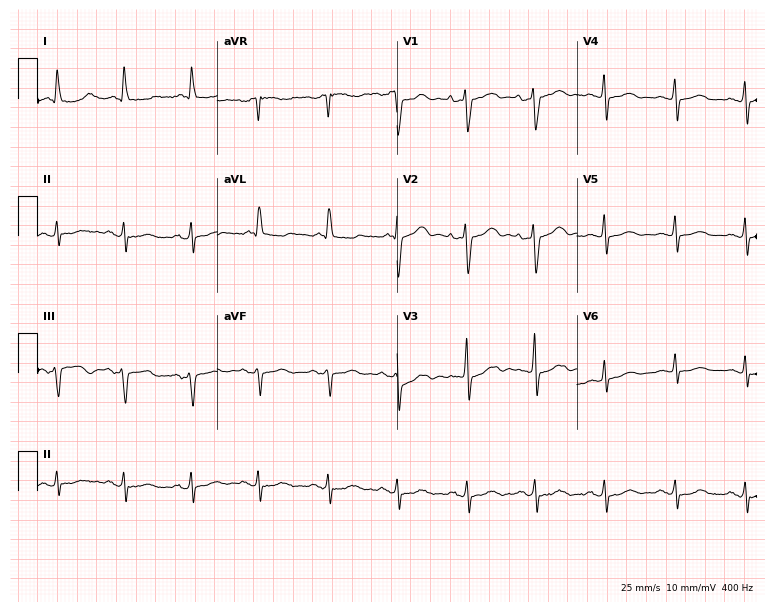
ECG (7.3-second recording at 400 Hz) — an 81-year-old female patient. Screened for six findings — first-degree AV block, right bundle branch block, left bundle branch block, sinus bradycardia, atrial fibrillation, sinus tachycardia — none is recorded.